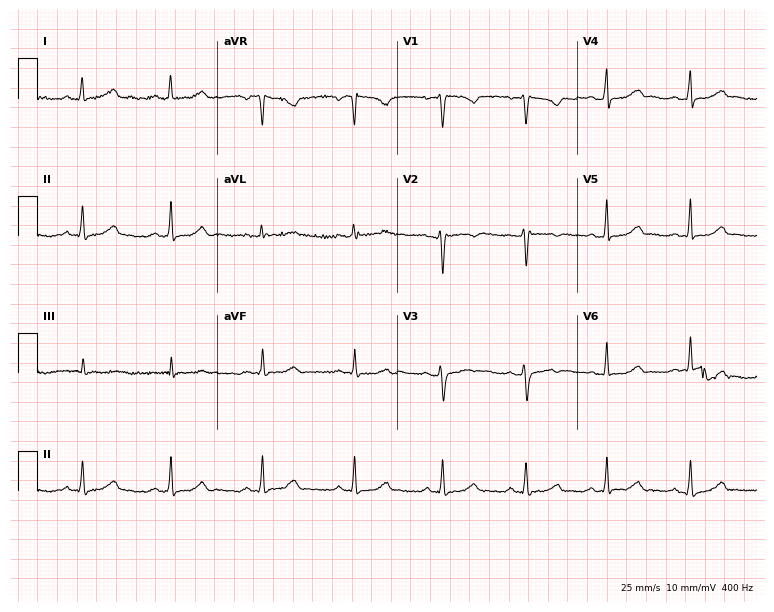
Resting 12-lead electrocardiogram. Patient: a female, 36 years old. None of these six findings is recorded: first-degree AV block, right bundle branch block, left bundle branch block, sinus bradycardia, atrial fibrillation, sinus tachycardia.